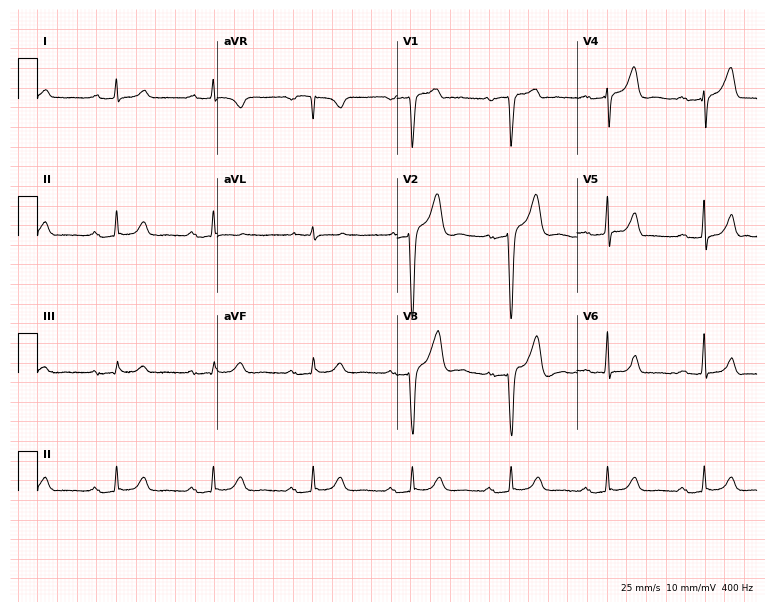
ECG — a male patient, 53 years old. Screened for six findings — first-degree AV block, right bundle branch block (RBBB), left bundle branch block (LBBB), sinus bradycardia, atrial fibrillation (AF), sinus tachycardia — none is recorded.